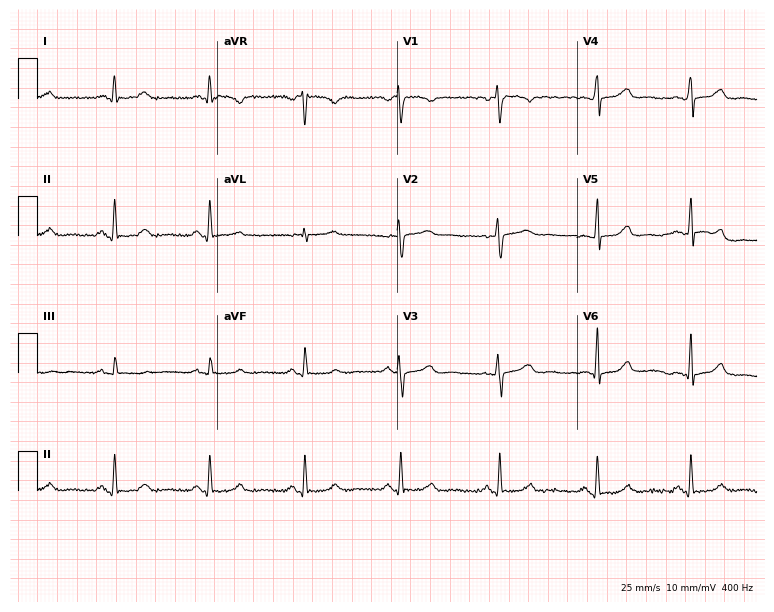
ECG (7.3-second recording at 400 Hz) — a 49-year-old female patient. Screened for six findings — first-degree AV block, right bundle branch block (RBBB), left bundle branch block (LBBB), sinus bradycardia, atrial fibrillation (AF), sinus tachycardia — none is recorded. Findings outside these six are not listed.